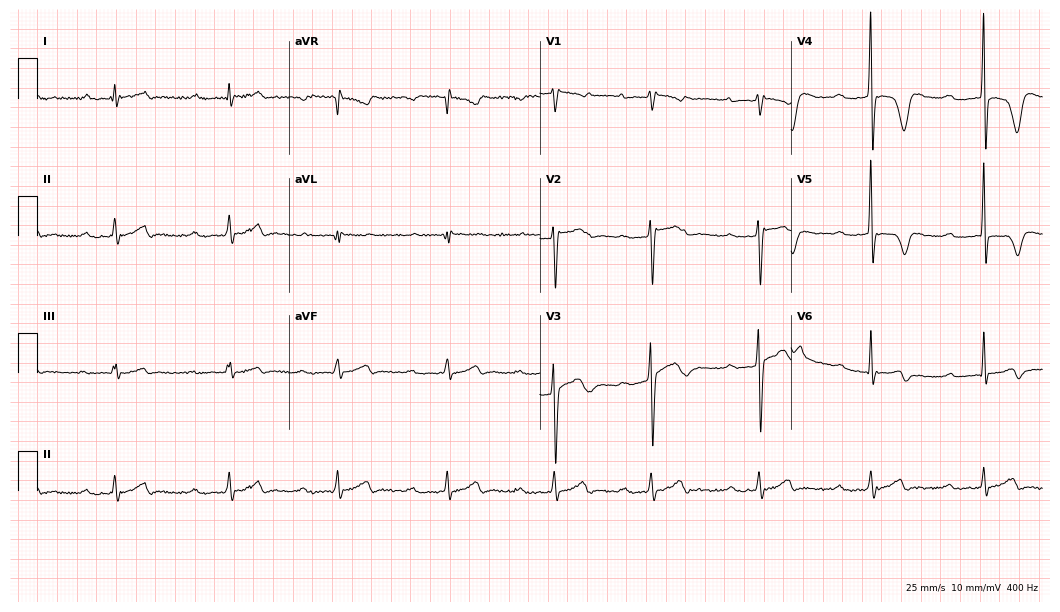
12-lead ECG from a male patient, 54 years old. Shows first-degree AV block.